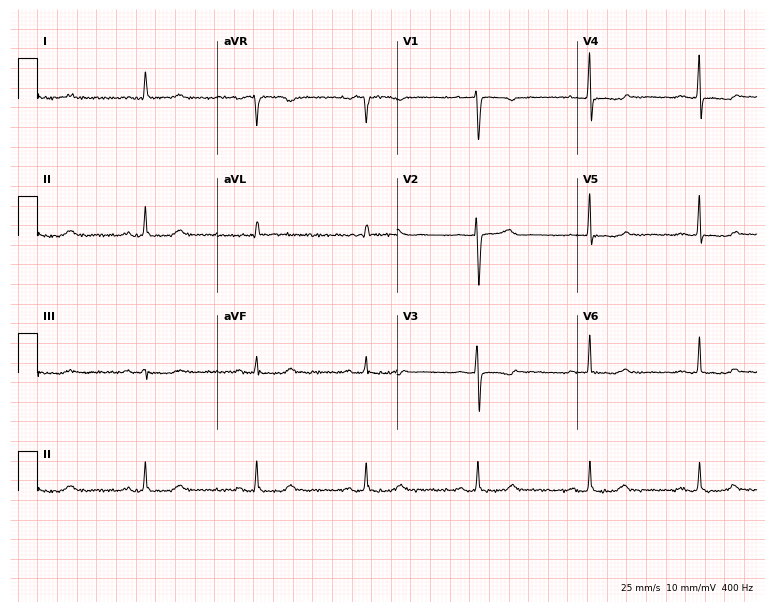
Electrocardiogram, a woman, 56 years old. Overall reading on record: normal ECG.